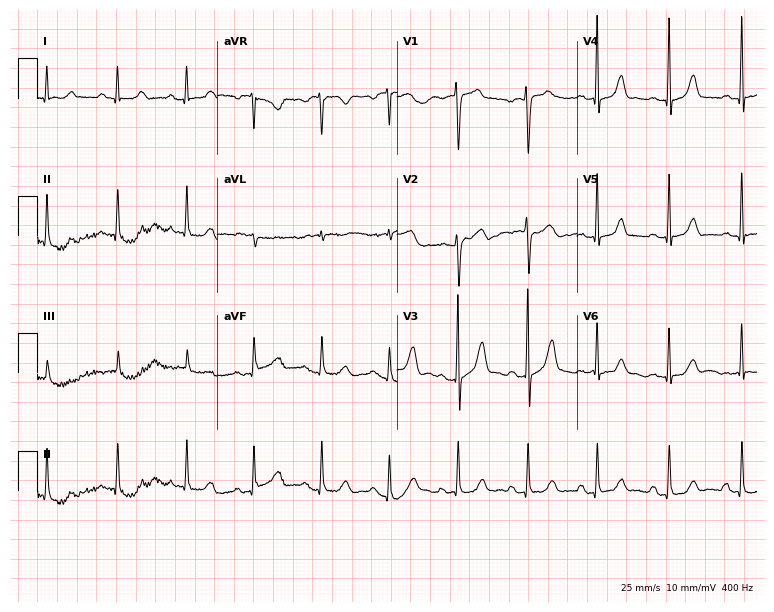
12-lead ECG from a woman, 20 years old. No first-degree AV block, right bundle branch block (RBBB), left bundle branch block (LBBB), sinus bradycardia, atrial fibrillation (AF) or sinus tachycardia recorded for this tracing. Other findings, if any, are not listed.